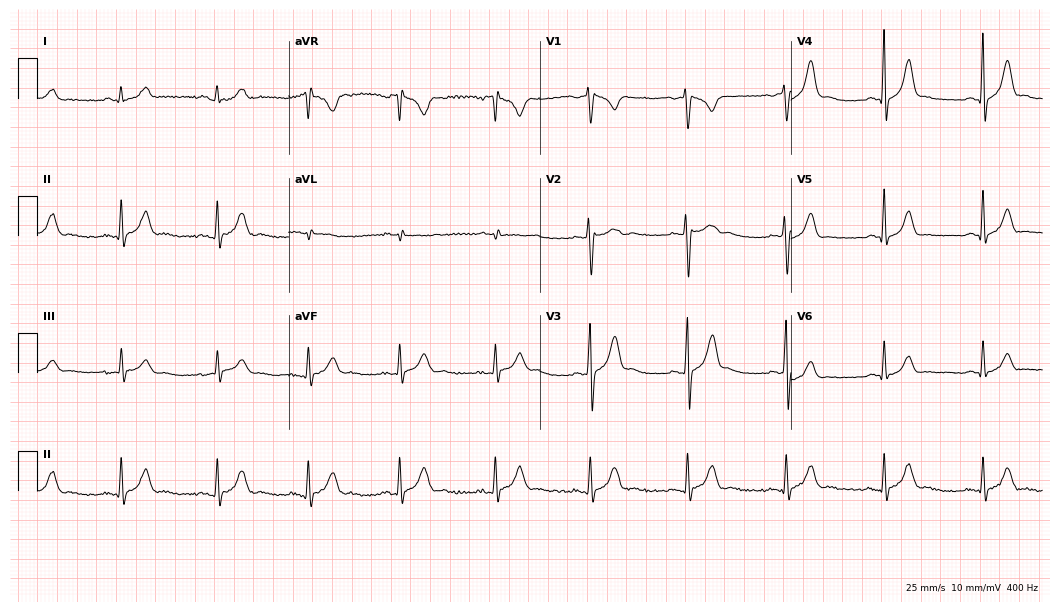
ECG — a man, 21 years old. Labelled as a normal ECG.